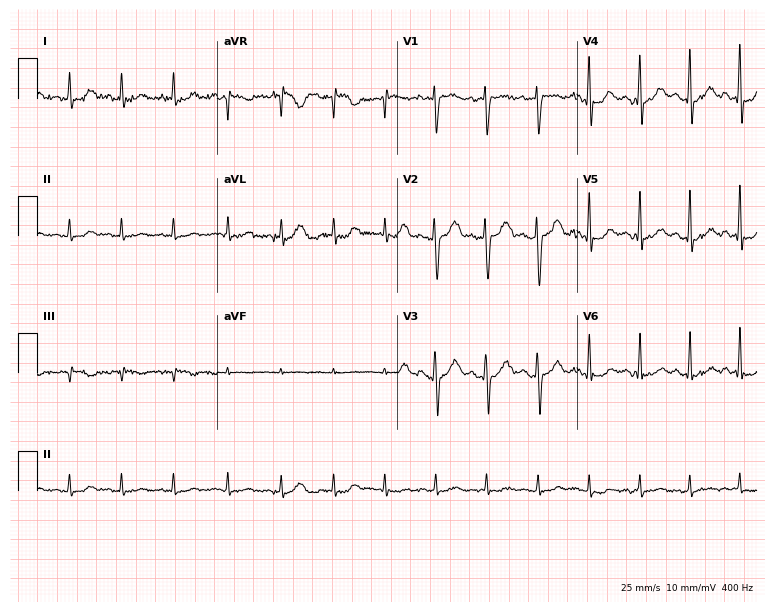
12-lead ECG from a 34-year-old woman. No first-degree AV block, right bundle branch block (RBBB), left bundle branch block (LBBB), sinus bradycardia, atrial fibrillation (AF) or sinus tachycardia recorded for this tracing.